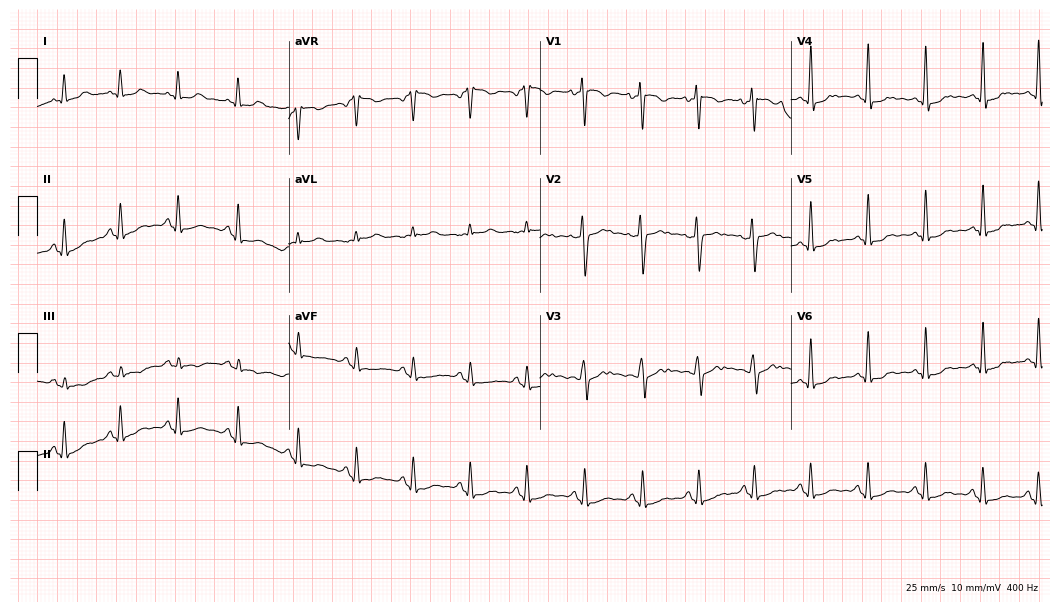
Resting 12-lead electrocardiogram (10.2-second recording at 400 Hz). Patient: a woman, 36 years old. None of these six findings is recorded: first-degree AV block, right bundle branch block, left bundle branch block, sinus bradycardia, atrial fibrillation, sinus tachycardia. Other findings, if any, are not listed.